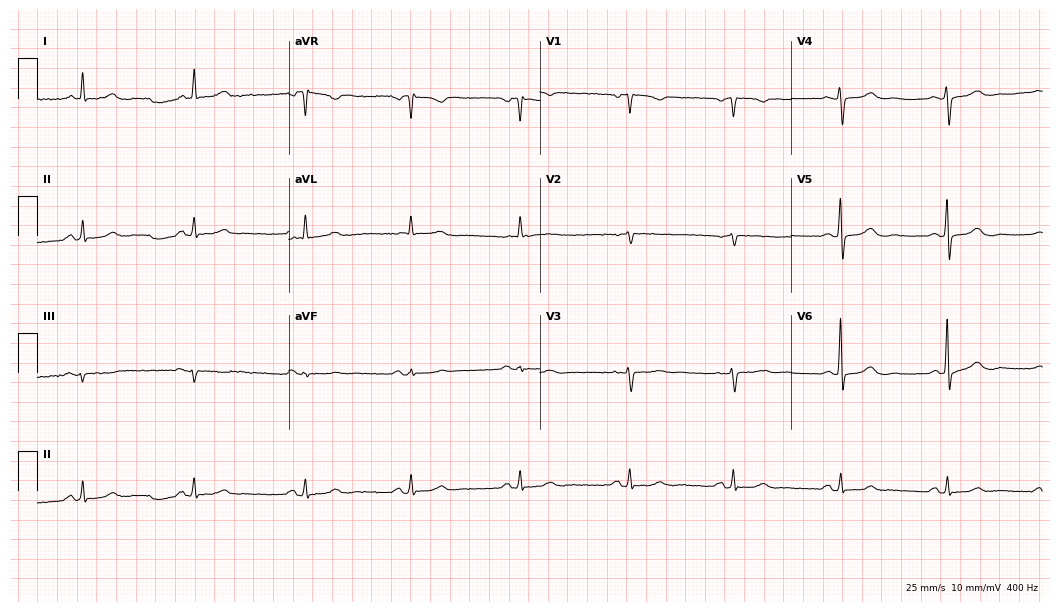
12-lead ECG from an 83-year-old female. Screened for six findings — first-degree AV block, right bundle branch block, left bundle branch block, sinus bradycardia, atrial fibrillation, sinus tachycardia — none is recorded. Other findings, if any, are not listed.